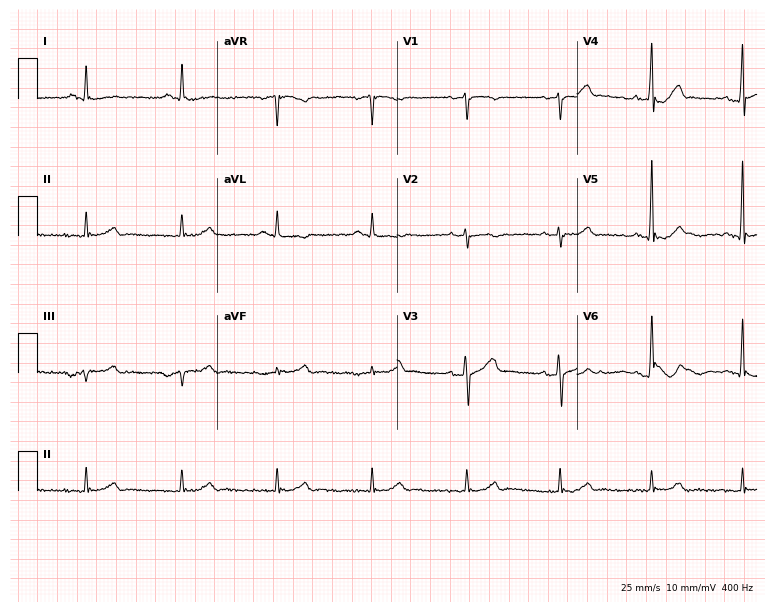
Resting 12-lead electrocardiogram. Patient: a 60-year-old man. None of these six findings is recorded: first-degree AV block, right bundle branch block, left bundle branch block, sinus bradycardia, atrial fibrillation, sinus tachycardia.